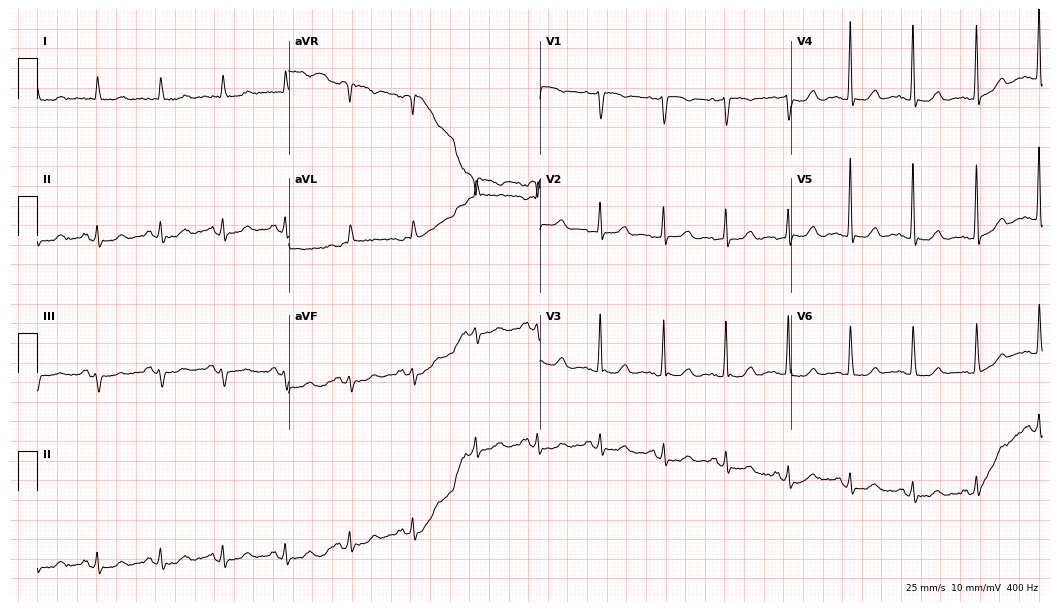
ECG (10.2-second recording at 400 Hz) — a female patient, 85 years old. Screened for six findings — first-degree AV block, right bundle branch block (RBBB), left bundle branch block (LBBB), sinus bradycardia, atrial fibrillation (AF), sinus tachycardia — none is recorded.